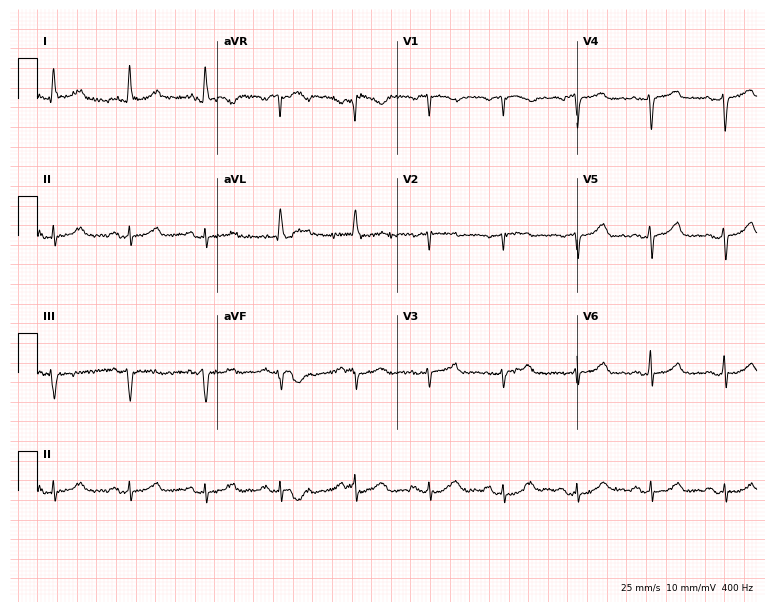
Resting 12-lead electrocardiogram. Patient: a 71-year-old female. Read as a normal ECG.